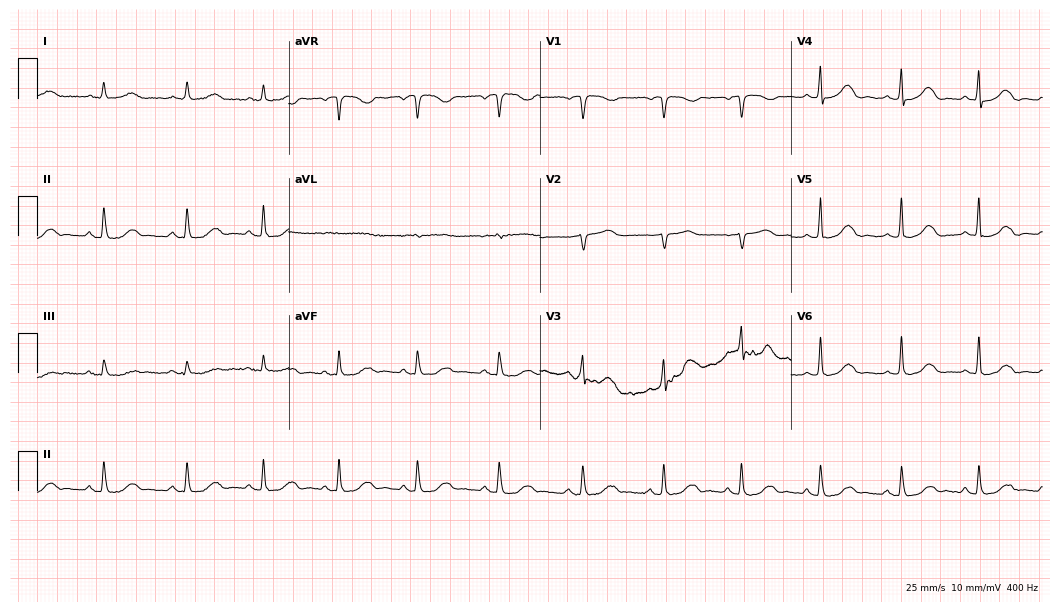
Resting 12-lead electrocardiogram (10.2-second recording at 400 Hz). Patient: a 79-year-old female. Read as a normal ECG.